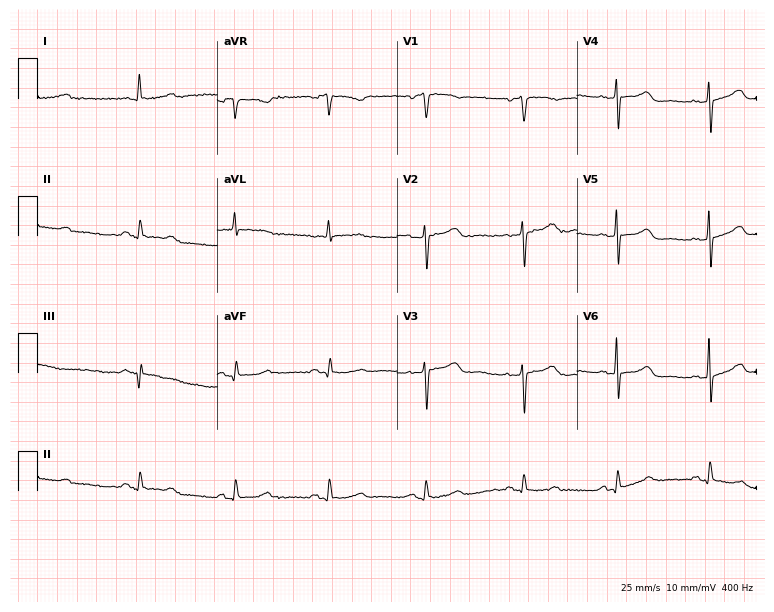
ECG — a female patient, 75 years old. Screened for six findings — first-degree AV block, right bundle branch block, left bundle branch block, sinus bradycardia, atrial fibrillation, sinus tachycardia — none is recorded.